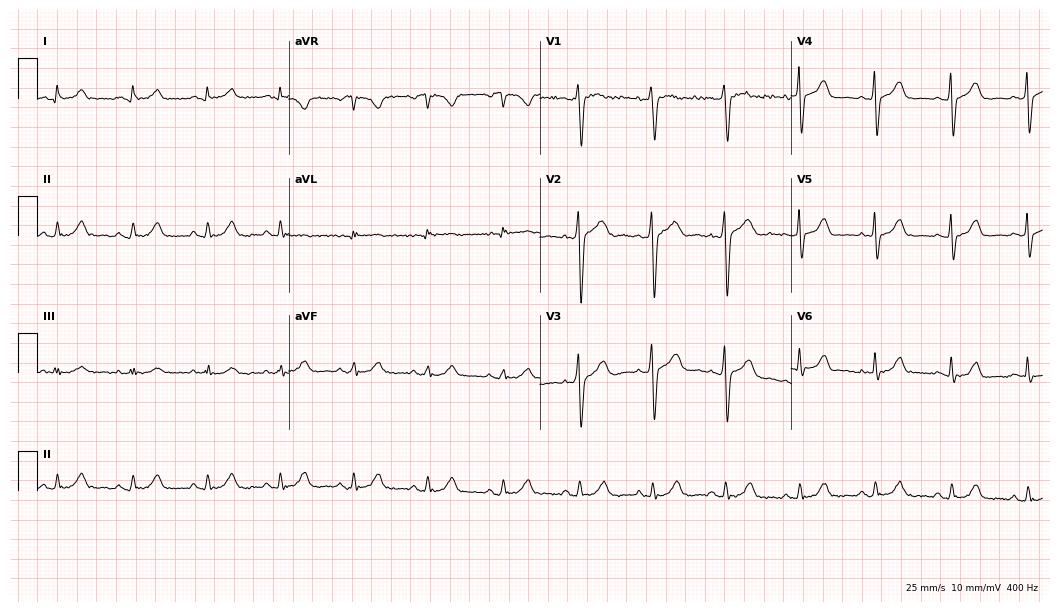
Resting 12-lead electrocardiogram (10.2-second recording at 400 Hz). Patient: a female, 38 years old. Read as a normal ECG.